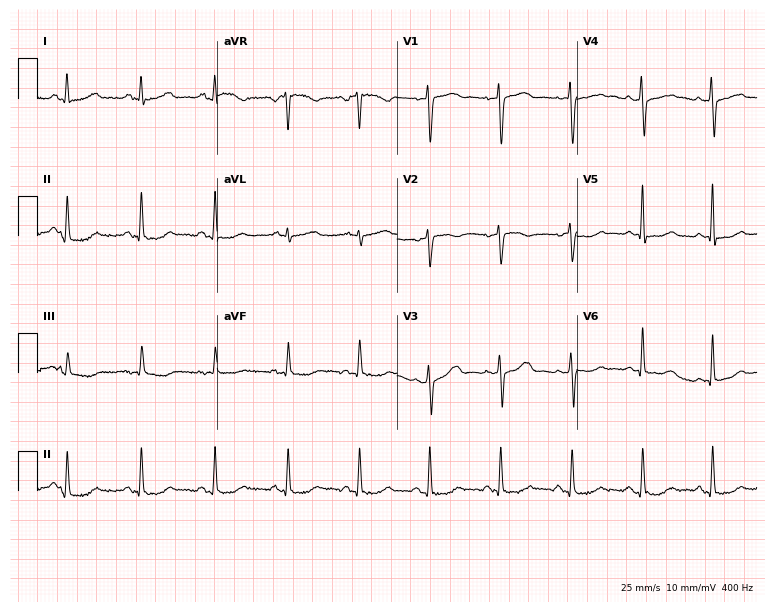
Resting 12-lead electrocardiogram. Patient: a 47-year-old female. Read as a normal ECG.